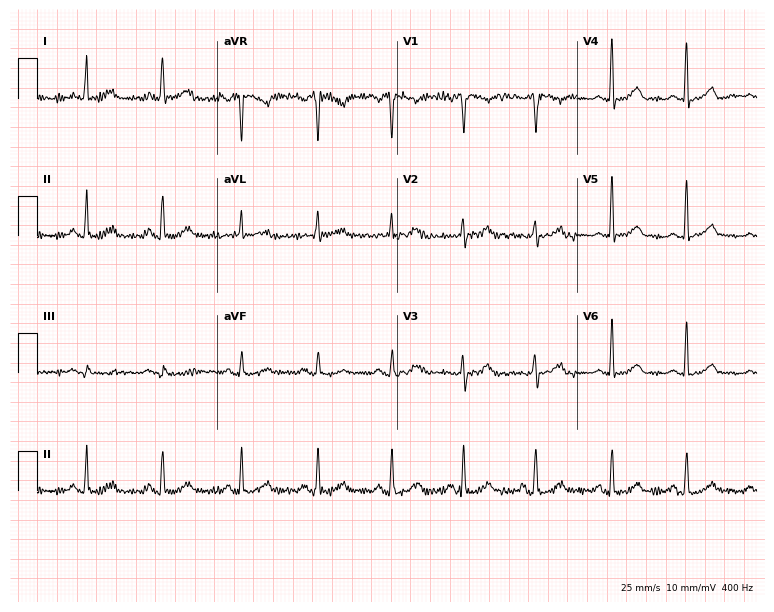
Resting 12-lead electrocardiogram. Patient: a female, 57 years old. Read as a normal ECG.